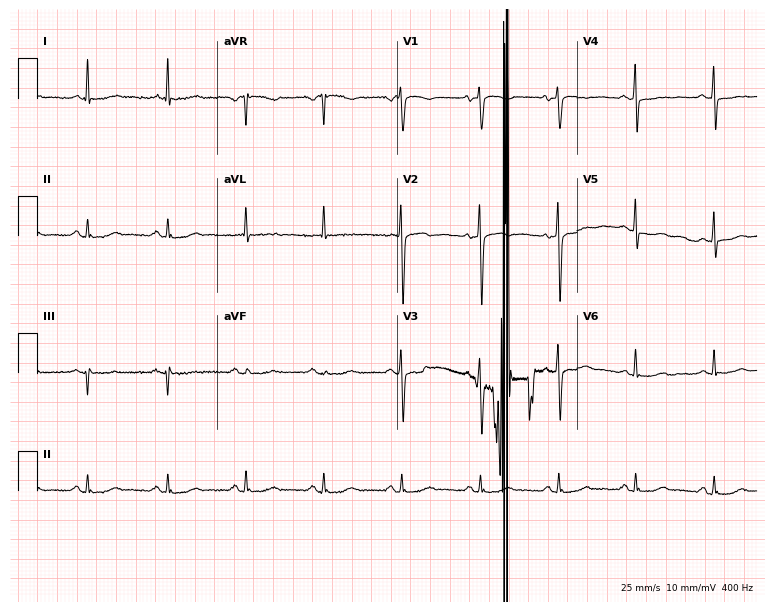
12-lead ECG from a 57-year-old woman (7.3-second recording at 400 Hz). Recorded interpretation: within normal limits.